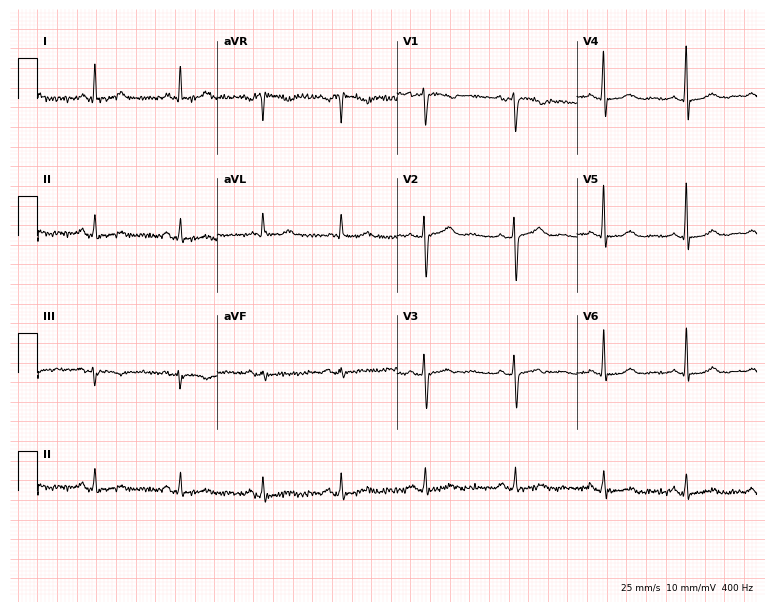
12-lead ECG from a female patient, 44 years old. No first-degree AV block, right bundle branch block, left bundle branch block, sinus bradycardia, atrial fibrillation or sinus tachycardia recorded for this tracing. Only these six findings were labelled.